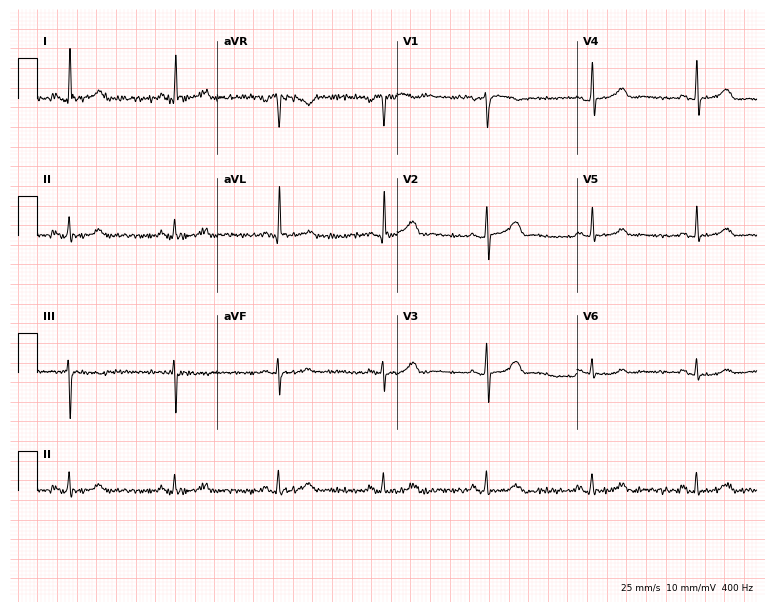
Resting 12-lead electrocardiogram (7.3-second recording at 400 Hz). Patient: a 46-year-old woman. None of these six findings is recorded: first-degree AV block, right bundle branch block (RBBB), left bundle branch block (LBBB), sinus bradycardia, atrial fibrillation (AF), sinus tachycardia.